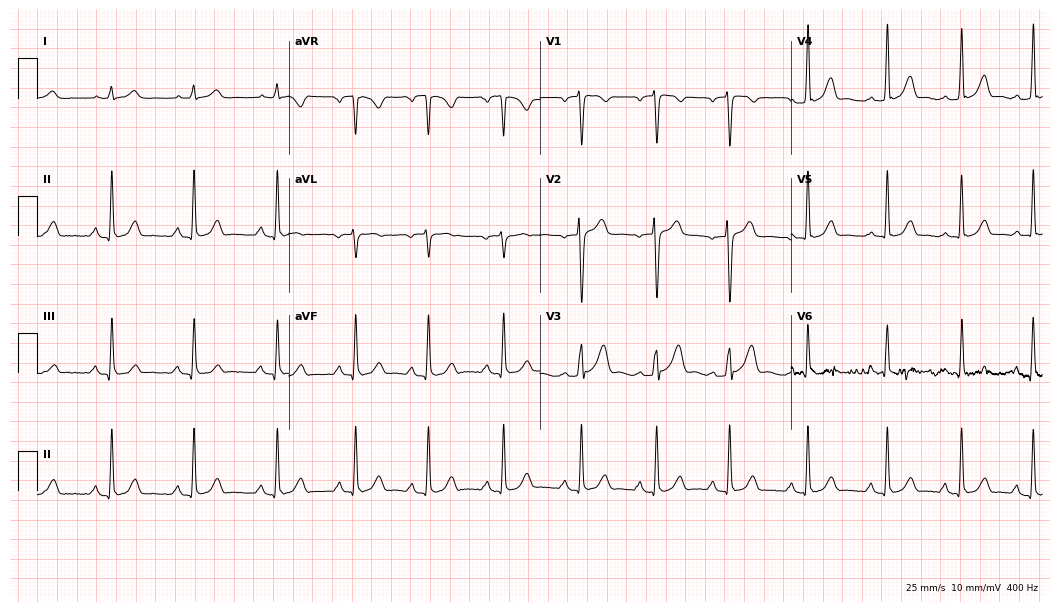
Standard 12-lead ECG recorded from a male patient, 44 years old. Read as a normal ECG.